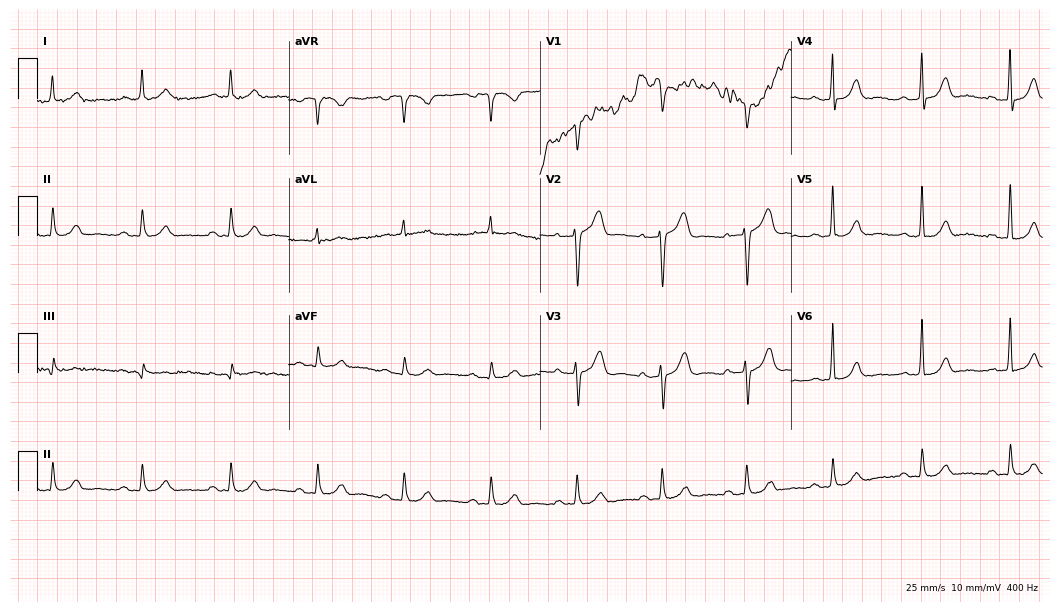
ECG (10.2-second recording at 400 Hz) — a 72-year-old man. Findings include first-degree AV block.